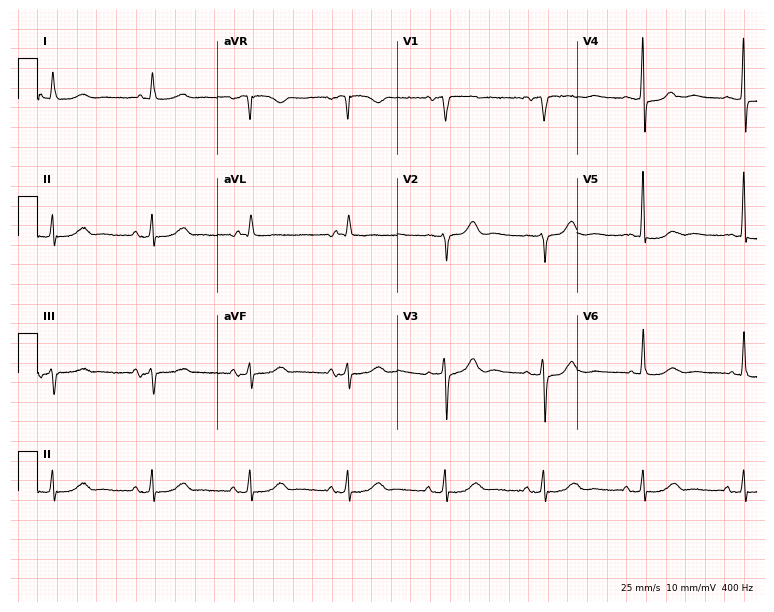
Resting 12-lead electrocardiogram (7.3-second recording at 400 Hz). Patient: a male, 84 years old. None of these six findings is recorded: first-degree AV block, right bundle branch block, left bundle branch block, sinus bradycardia, atrial fibrillation, sinus tachycardia.